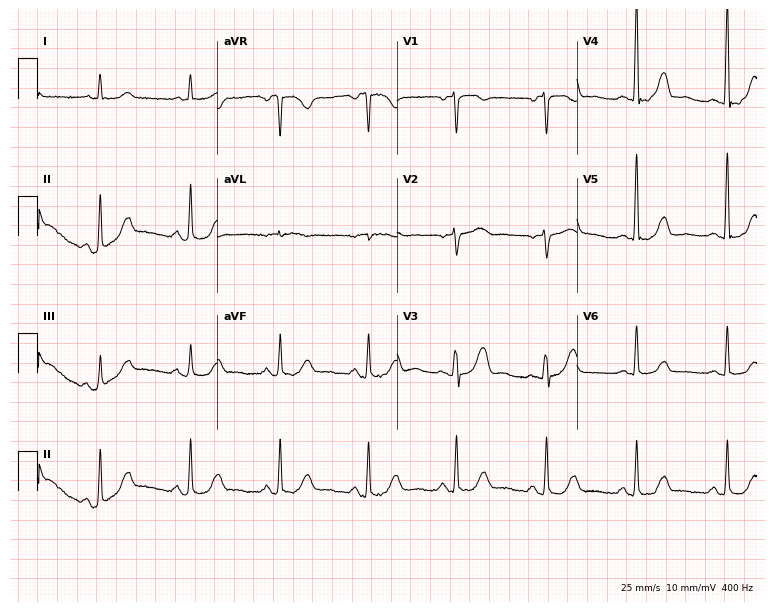
ECG (7.3-second recording at 400 Hz) — a woman, 69 years old. Screened for six findings — first-degree AV block, right bundle branch block, left bundle branch block, sinus bradycardia, atrial fibrillation, sinus tachycardia — none is recorded.